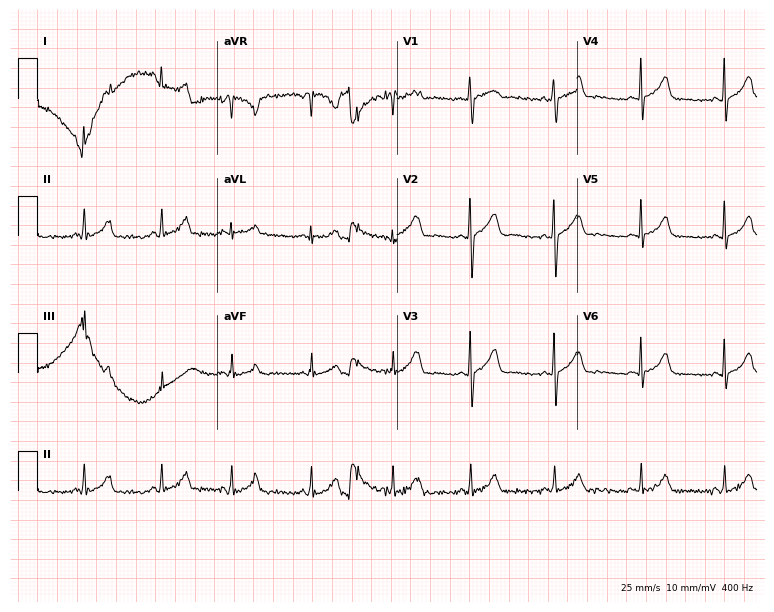
ECG — a female patient, 21 years old. Screened for six findings — first-degree AV block, right bundle branch block (RBBB), left bundle branch block (LBBB), sinus bradycardia, atrial fibrillation (AF), sinus tachycardia — none is recorded. Only these six findings were labelled.